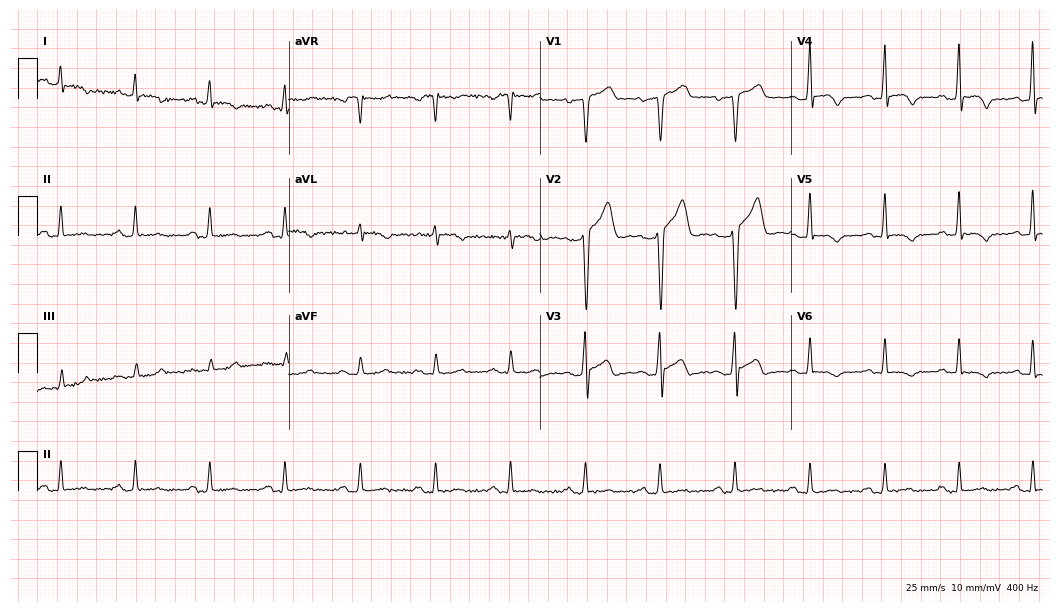
ECG — a 51-year-old man. Screened for six findings — first-degree AV block, right bundle branch block (RBBB), left bundle branch block (LBBB), sinus bradycardia, atrial fibrillation (AF), sinus tachycardia — none is recorded.